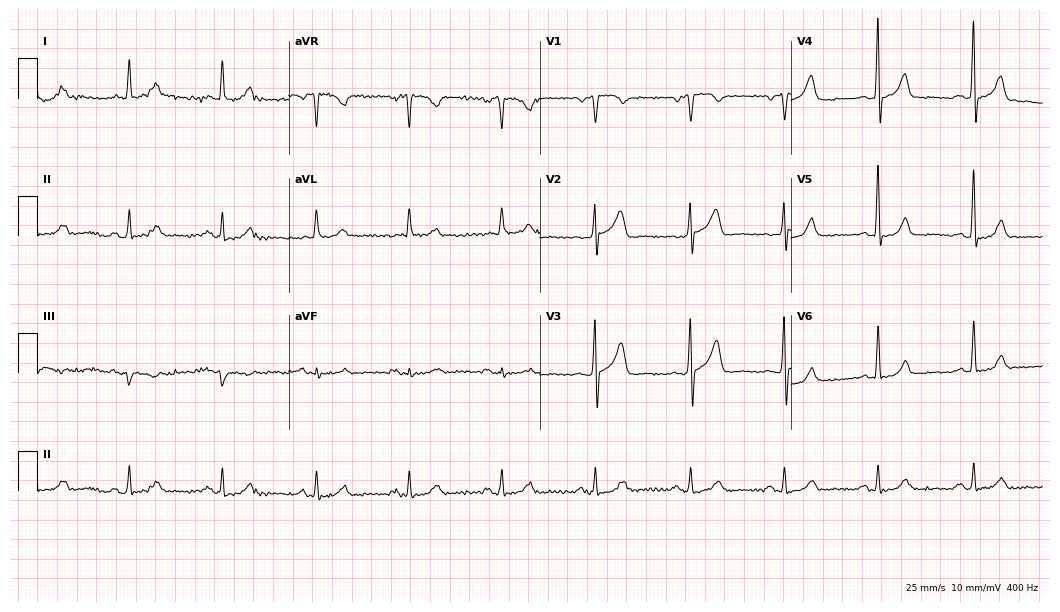
Electrocardiogram (10.2-second recording at 400 Hz), a man, 72 years old. Overall reading on record: normal ECG.